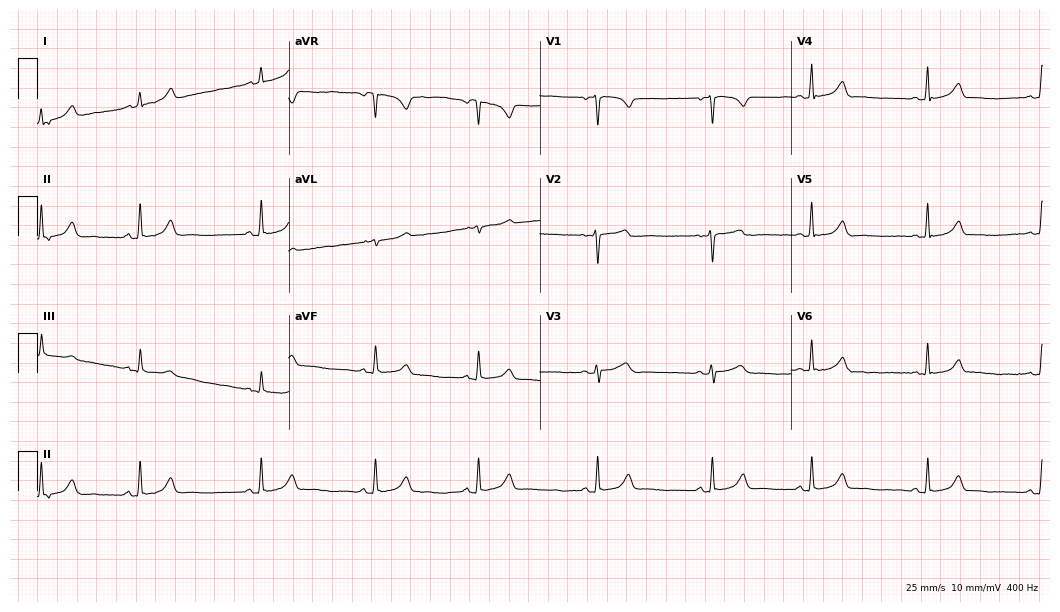
Standard 12-lead ECG recorded from a female patient, 26 years old (10.2-second recording at 400 Hz). Read as a normal ECG.